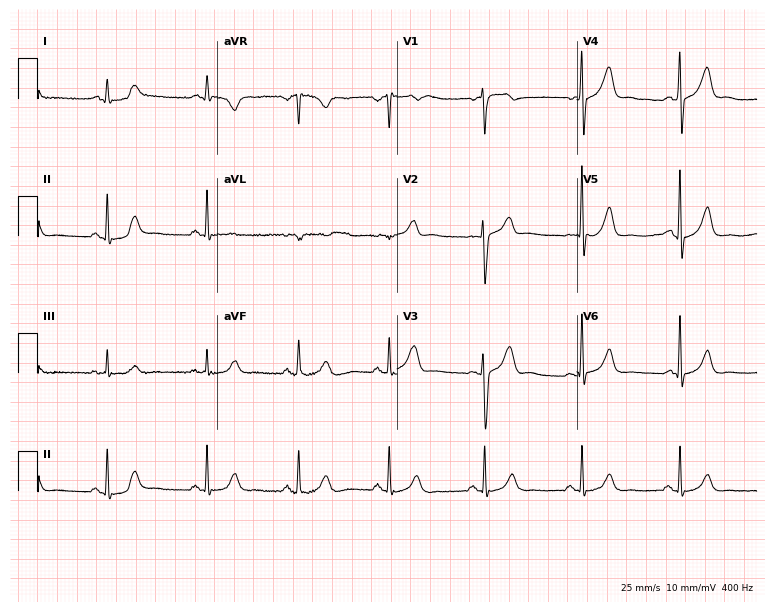
Standard 12-lead ECG recorded from a man, 51 years old (7.3-second recording at 400 Hz). None of these six findings is recorded: first-degree AV block, right bundle branch block, left bundle branch block, sinus bradycardia, atrial fibrillation, sinus tachycardia.